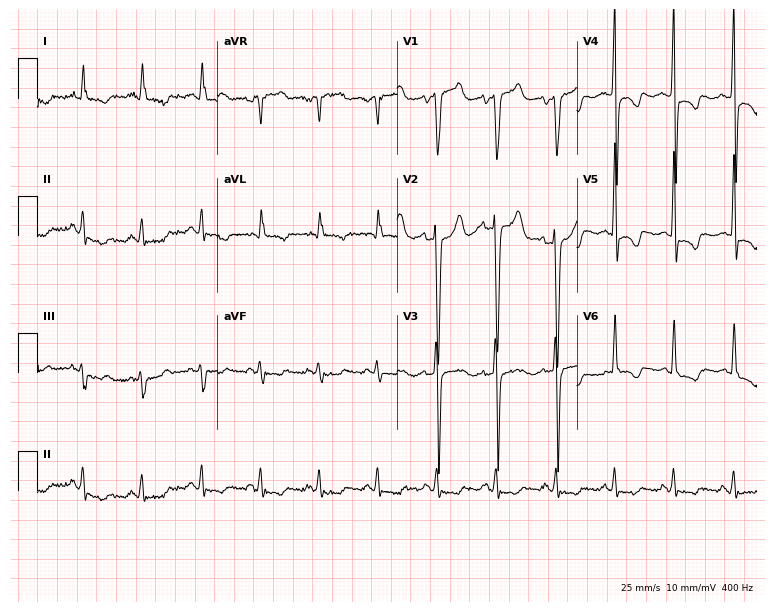
Resting 12-lead electrocardiogram (7.3-second recording at 400 Hz). Patient: a 54-year-old man. None of these six findings is recorded: first-degree AV block, right bundle branch block, left bundle branch block, sinus bradycardia, atrial fibrillation, sinus tachycardia. Findings outside these six are not listed.